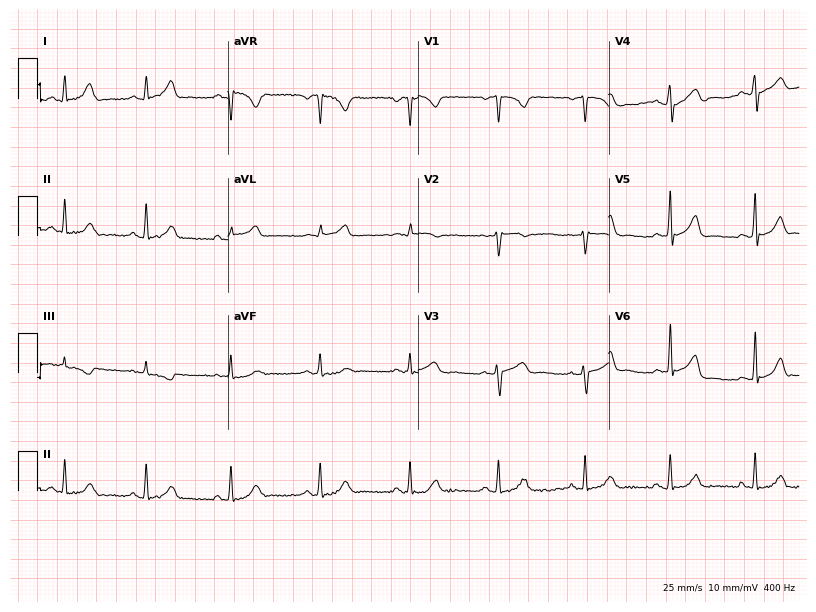
ECG — a 23-year-old female. Screened for six findings — first-degree AV block, right bundle branch block (RBBB), left bundle branch block (LBBB), sinus bradycardia, atrial fibrillation (AF), sinus tachycardia — none is recorded.